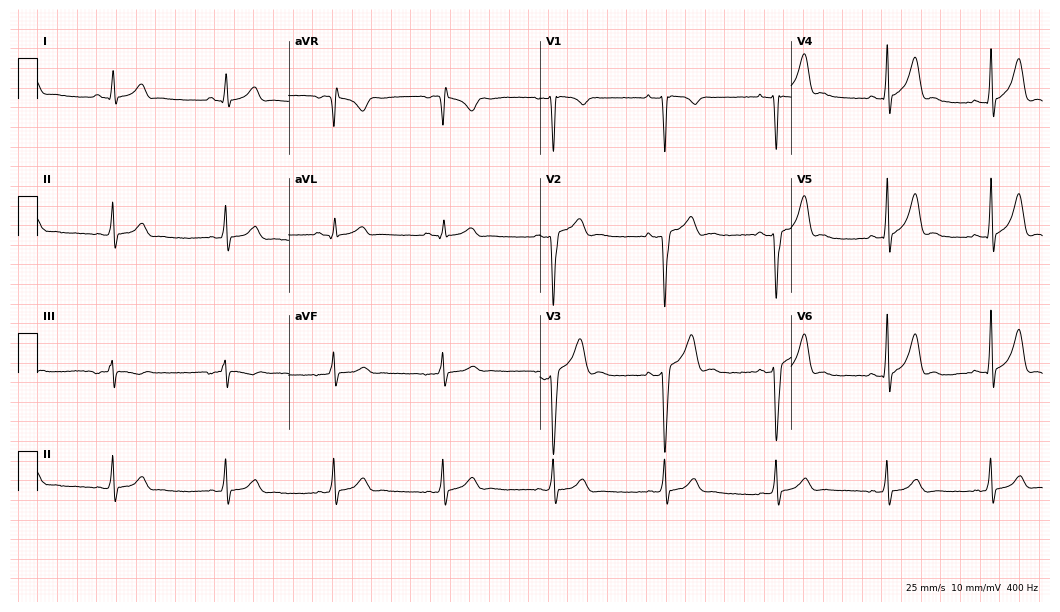
12-lead ECG (10.2-second recording at 400 Hz) from a male, 23 years old. Labelled as a normal ECG.